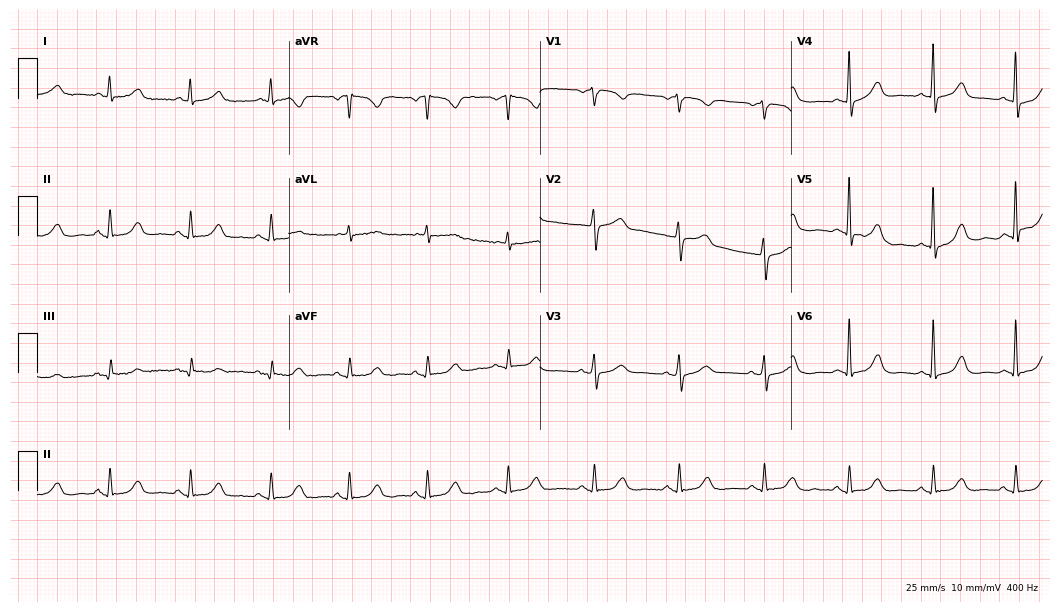
Resting 12-lead electrocardiogram. Patient: a 66-year-old woman. Read as a normal ECG.